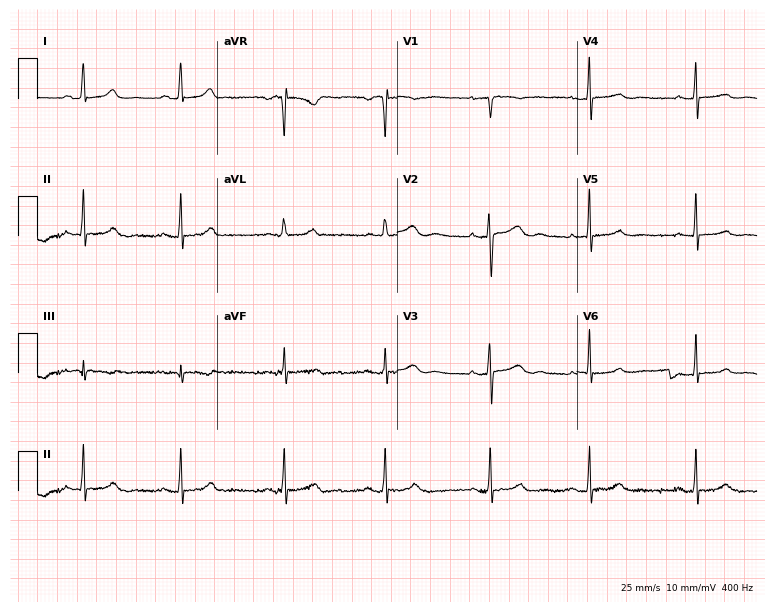
Standard 12-lead ECG recorded from a female patient, 28 years old. None of these six findings is recorded: first-degree AV block, right bundle branch block (RBBB), left bundle branch block (LBBB), sinus bradycardia, atrial fibrillation (AF), sinus tachycardia.